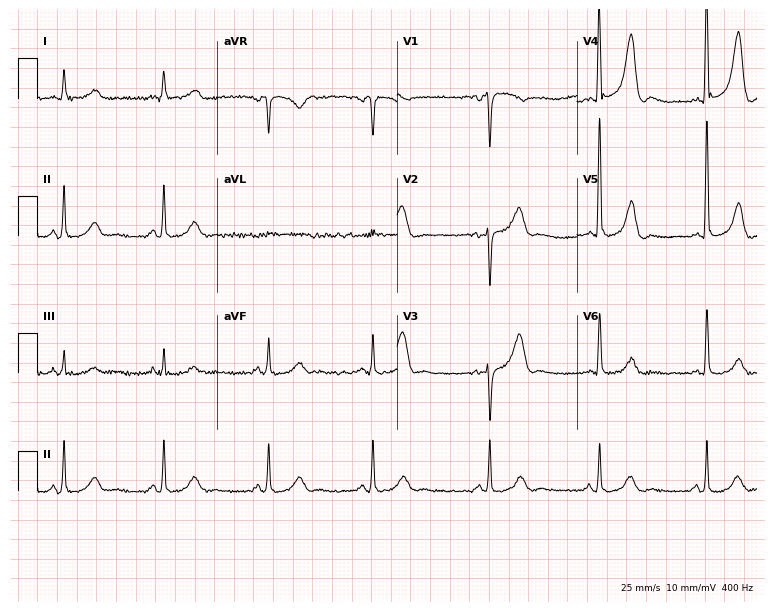
ECG (7.3-second recording at 400 Hz) — a male patient, 82 years old. Labelled as a normal ECG.